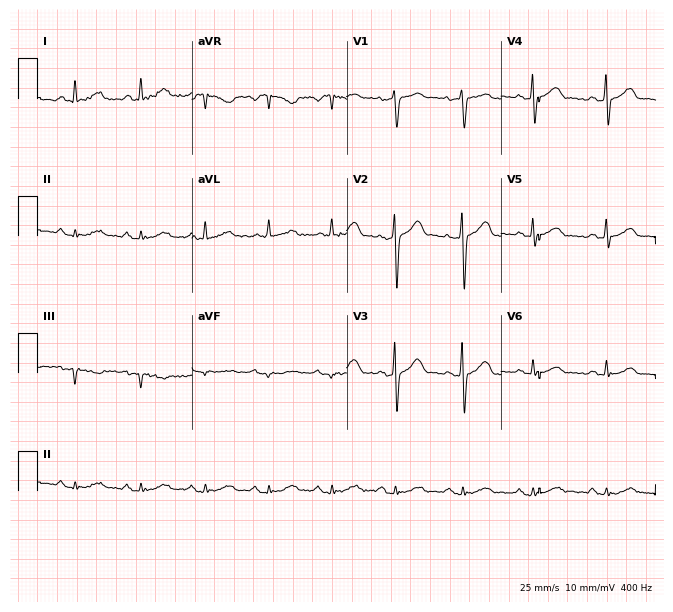
Resting 12-lead electrocardiogram (6.3-second recording at 400 Hz). Patient: a male, 68 years old. None of these six findings is recorded: first-degree AV block, right bundle branch block, left bundle branch block, sinus bradycardia, atrial fibrillation, sinus tachycardia. Findings outside these six are not listed.